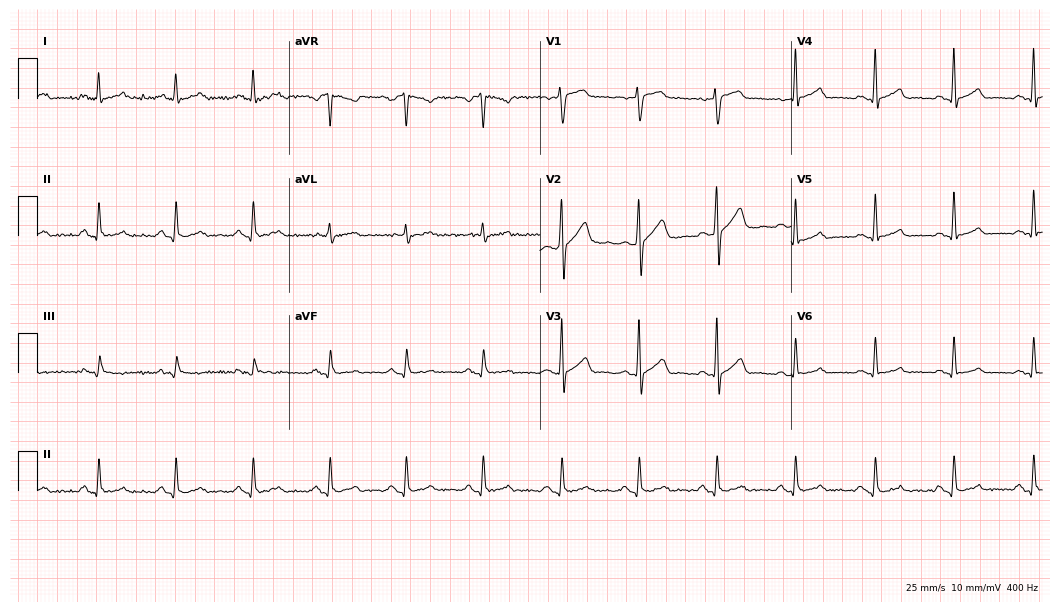
12-lead ECG (10.2-second recording at 400 Hz) from a 39-year-old male. Screened for six findings — first-degree AV block, right bundle branch block, left bundle branch block, sinus bradycardia, atrial fibrillation, sinus tachycardia — none is recorded.